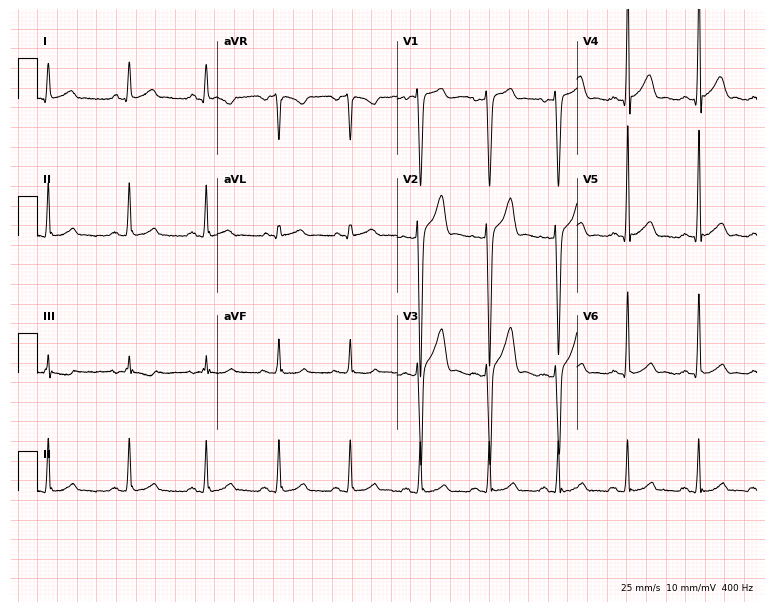
Standard 12-lead ECG recorded from a 33-year-old male (7.3-second recording at 400 Hz). None of these six findings is recorded: first-degree AV block, right bundle branch block, left bundle branch block, sinus bradycardia, atrial fibrillation, sinus tachycardia. Findings outside these six are not listed.